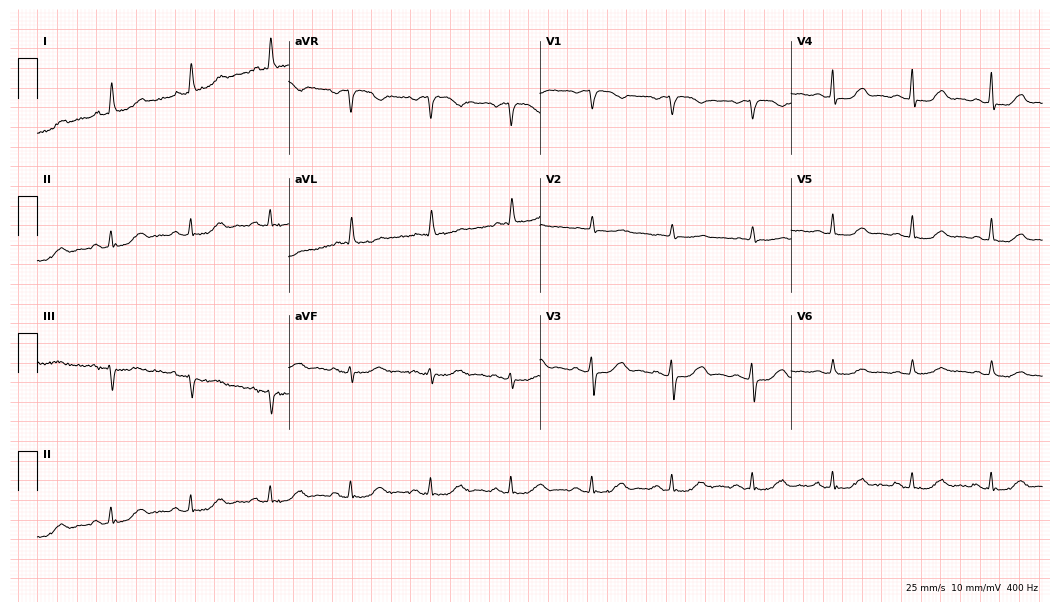
12-lead ECG from a female, 82 years old (10.2-second recording at 400 Hz). Recorded interpretation: within normal limits.